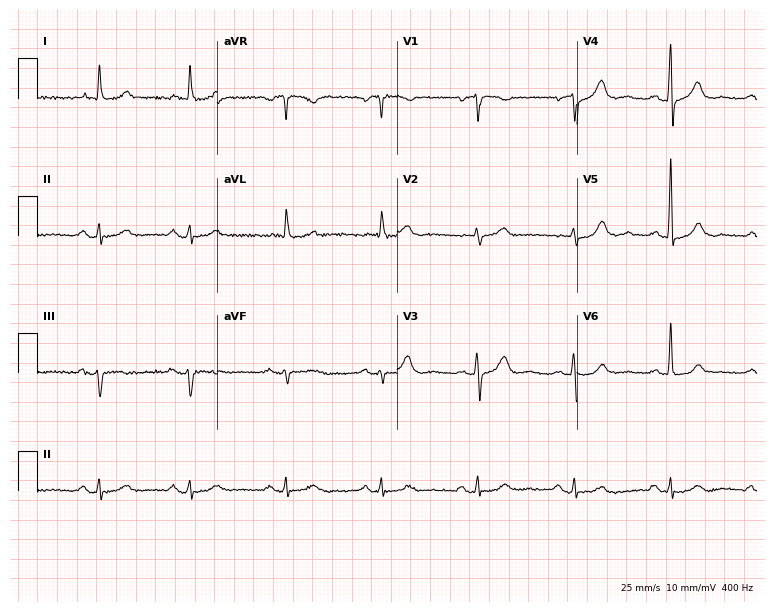
Electrocardiogram (7.3-second recording at 400 Hz), an 85-year-old female patient. Of the six screened findings (first-degree AV block, right bundle branch block, left bundle branch block, sinus bradycardia, atrial fibrillation, sinus tachycardia), none is recorded. Only these six findings were labelled.